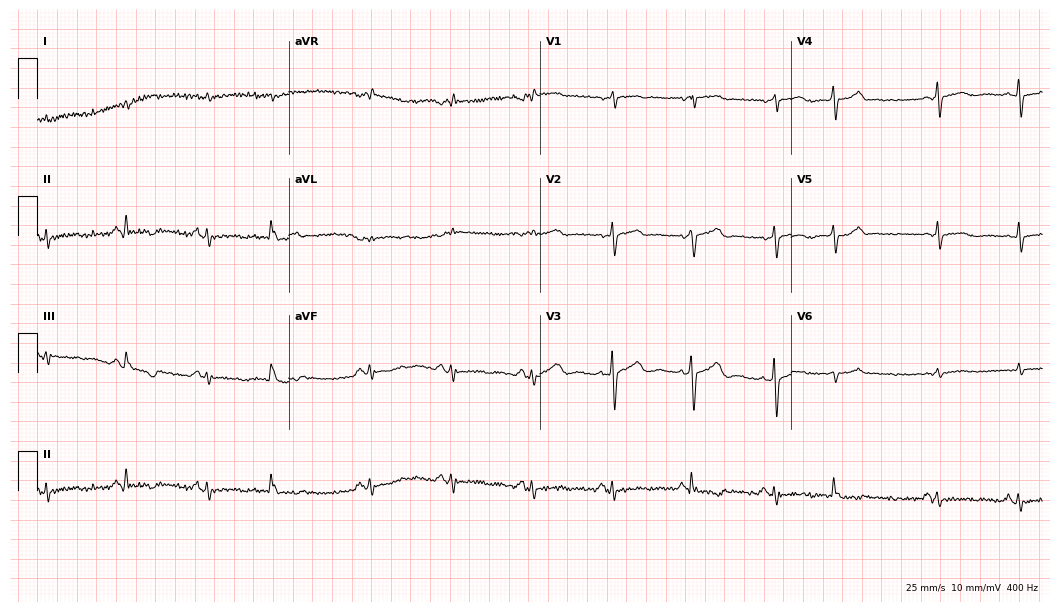
12-lead ECG from a 78-year-old man (10.2-second recording at 400 Hz). No first-degree AV block, right bundle branch block, left bundle branch block, sinus bradycardia, atrial fibrillation or sinus tachycardia recorded for this tracing.